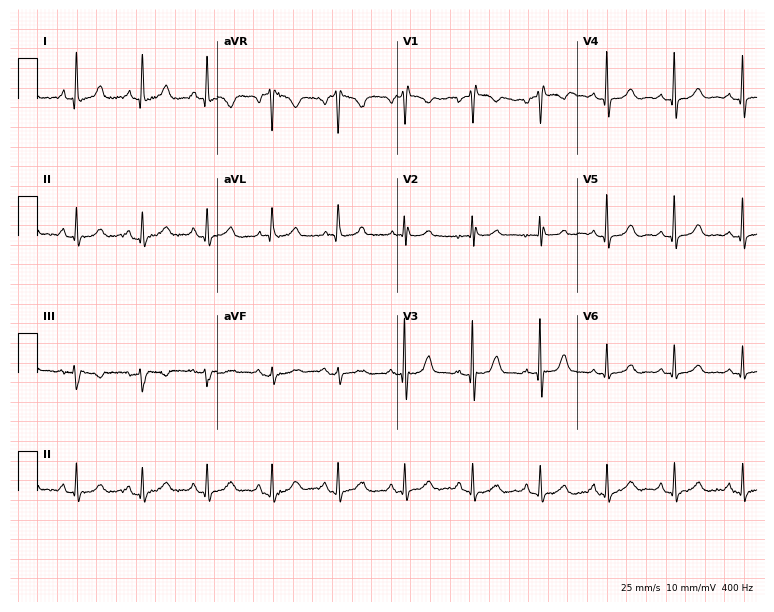
Resting 12-lead electrocardiogram. Patient: a female, 67 years old. None of these six findings is recorded: first-degree AV block, right bundle branch block, left bundle branch block, sinus bradycardia, atrial fibrillation, sinus tachycardia.